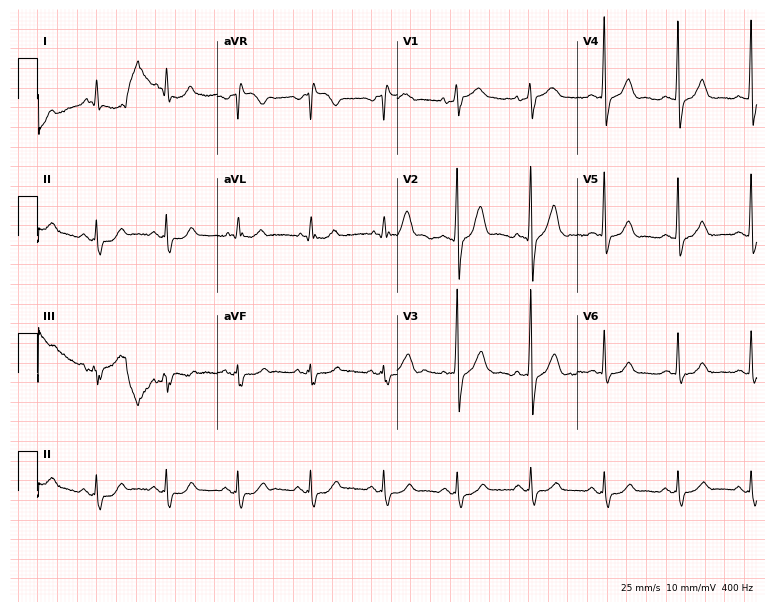
Resting 12-lead electrocardiogram. Patient: a man, 69 years old. None of these six findings is recorded: first-degree AV block, right bundle branch block, left bundle branch block, sinus bradycardia, atrial fibrillation, sinus tachycardia.